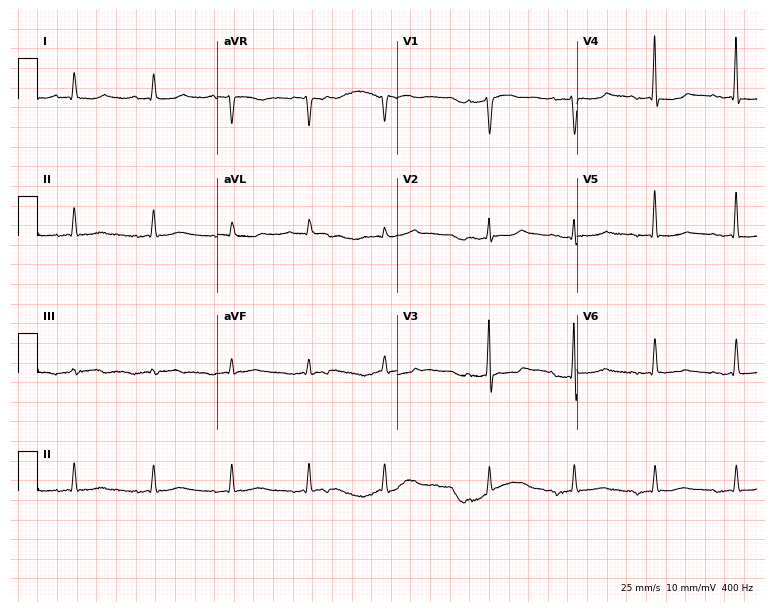
12-lead ECG from a 73-year-old female patient (7.3-second recording at 400 Hz). No first-degree AV block, right bundle branch block, left bundle branch block, sinus bradycardia, atrial fibrillation or sinus tachycardia recorded for this tracing.